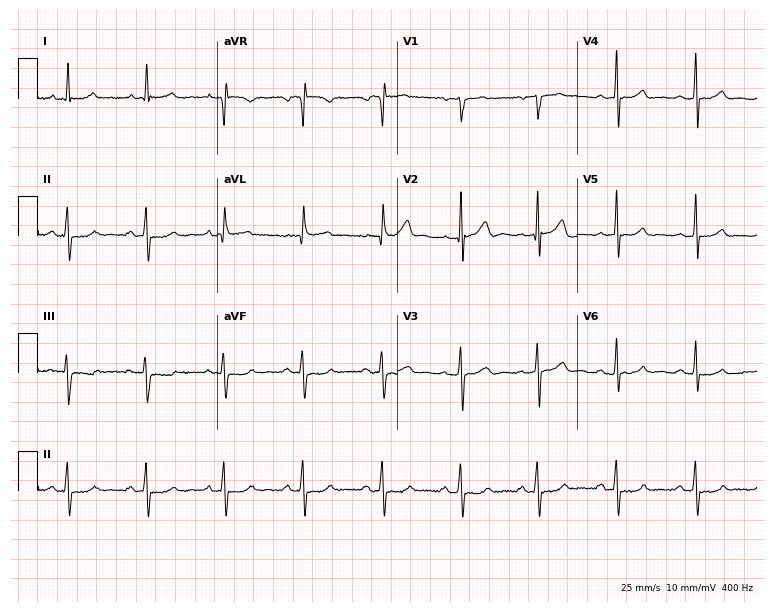
Electrocardiogram (7.3-second recording at 400 Hz), a woman, 61 years old. Overall reading on record: normal ECG.